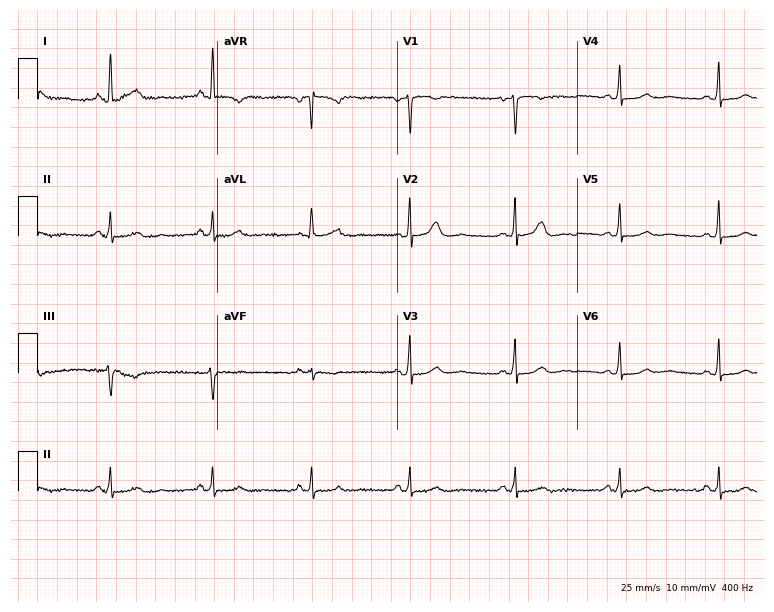
Electrocardiogram, a 36-year-old woman. Overall reading on record: normal ECG.